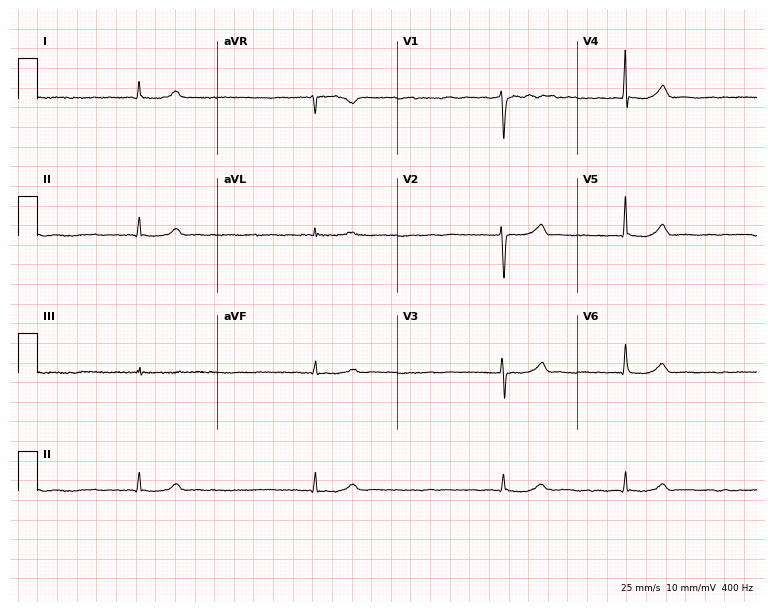
12-lead ECG from a female, 63 years old. Shows atrial fibrillation (AF).